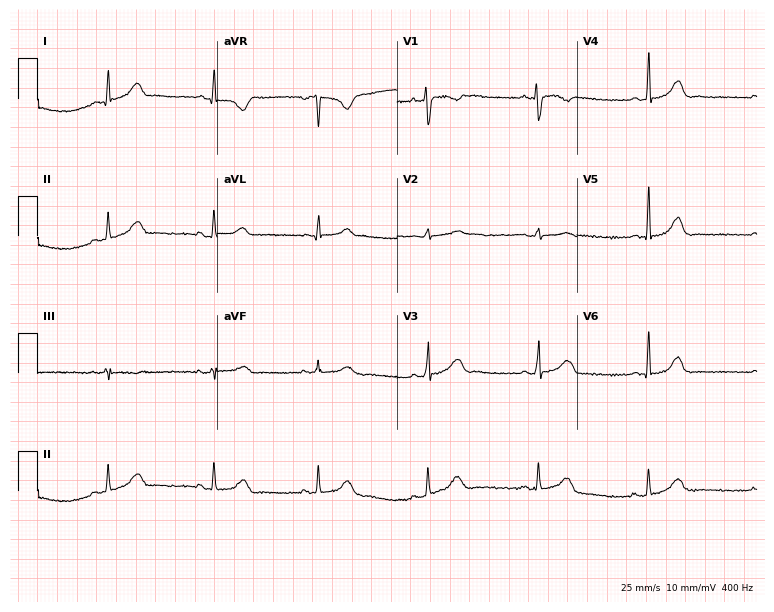
12-lead ECG from a female, 32 years old (7.3-second recording at 400 Hz). Recorded interpretation: within normal limits.